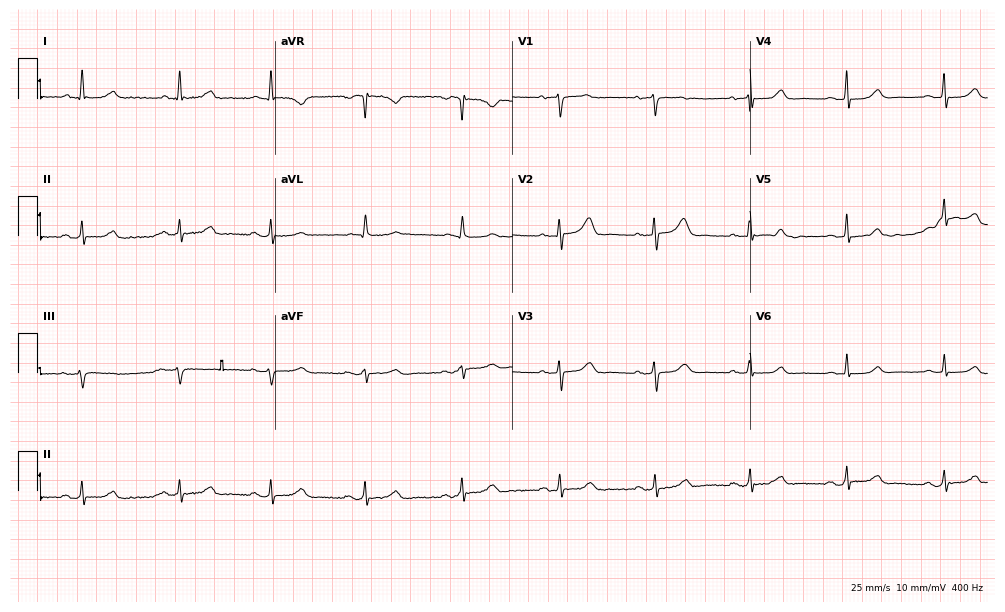
Standard 12-lead ECG recorded from a female patient, 81 years old. Read as a normal ECG.